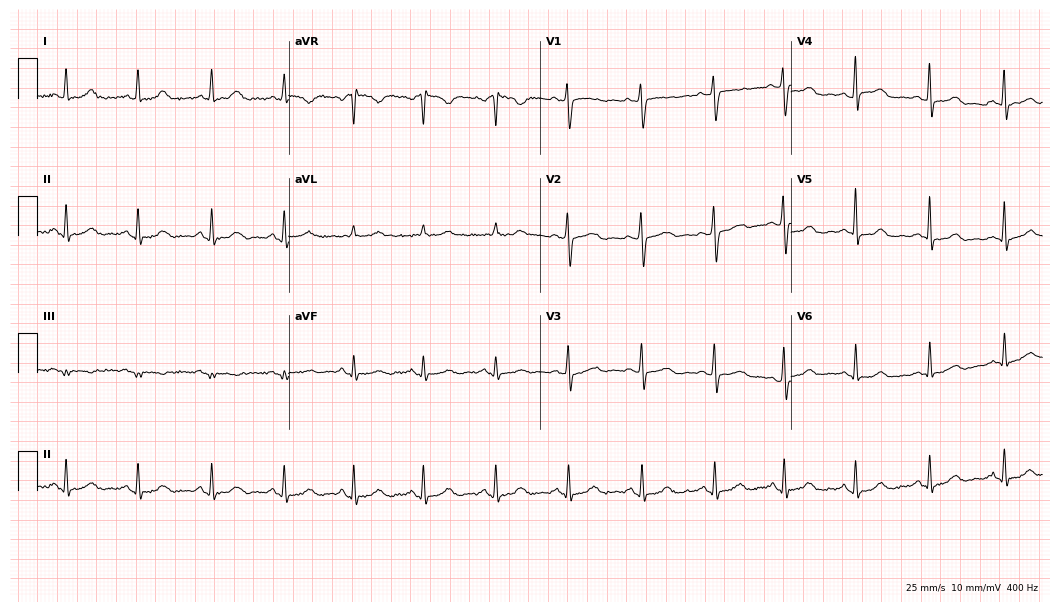
Standard 12-lead ECG recorded from a 46-year-old female patient. Read as a normal ECG.